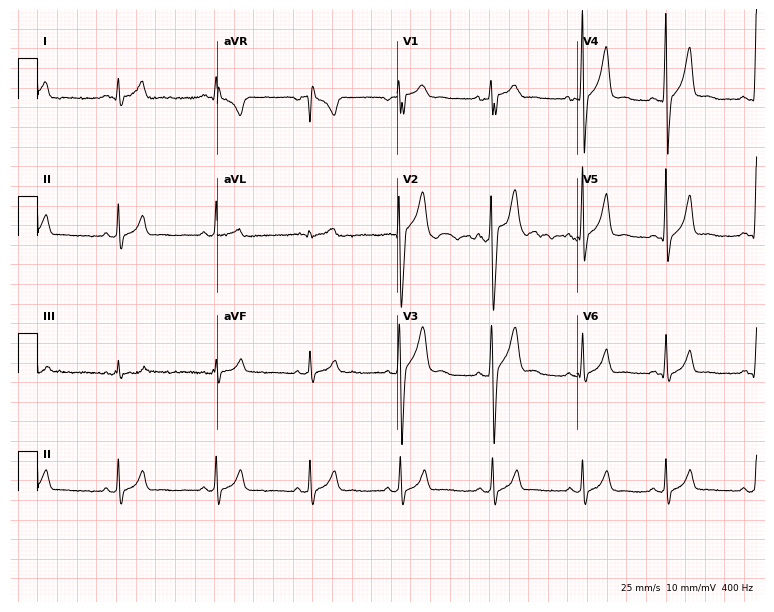
12-lead ECG (7.3-second recording at 400 Hz) from a male patient, 20 years old. Screened for six findings — first-degree AV block, right bundle branch block, left bundle branch block, sinus bradycardia, atrial fibrillation, sinus tachycardia — none is recorded.